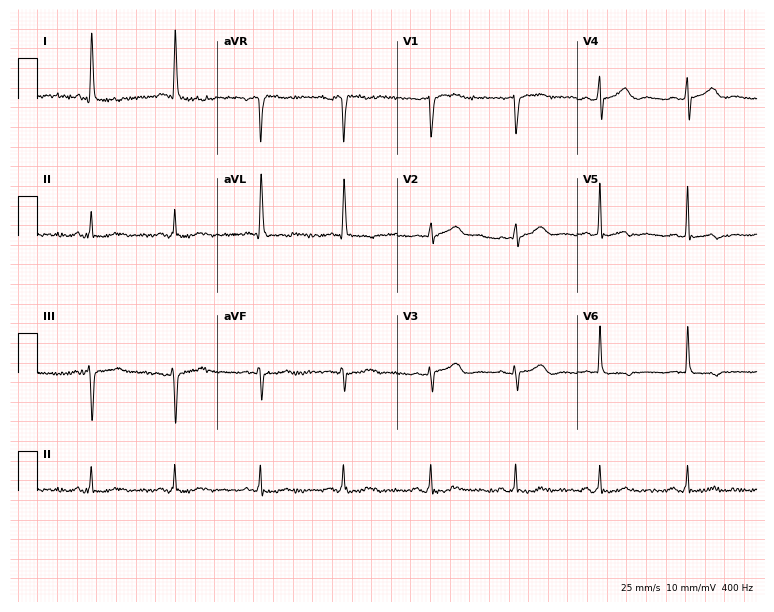
Resting 12-lead electrocardiogram (7.3-second recording at 400 Hz). Patient: an 82-year-old female. None of these six findings is recorded: first-degree AV block, right bundle branch block, left bundle branch block, sinus bradycardia, atrial fibrillation, sinus tachycardia.